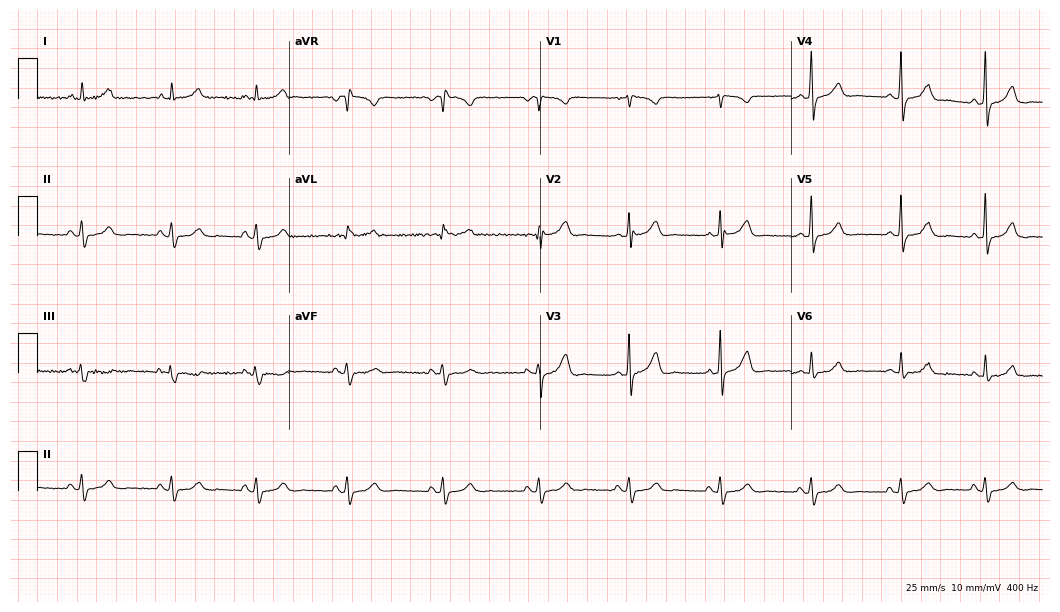
Standard 12-lead ECG recorded from a woman, 38 years old (10.2-second recording at 400 Hz). None of these six findings is recorded: first-degree AV block, right bundle branch block, left bundle branch block, sinus bradycardia, atrial fibrillation, sinus tachycardia.